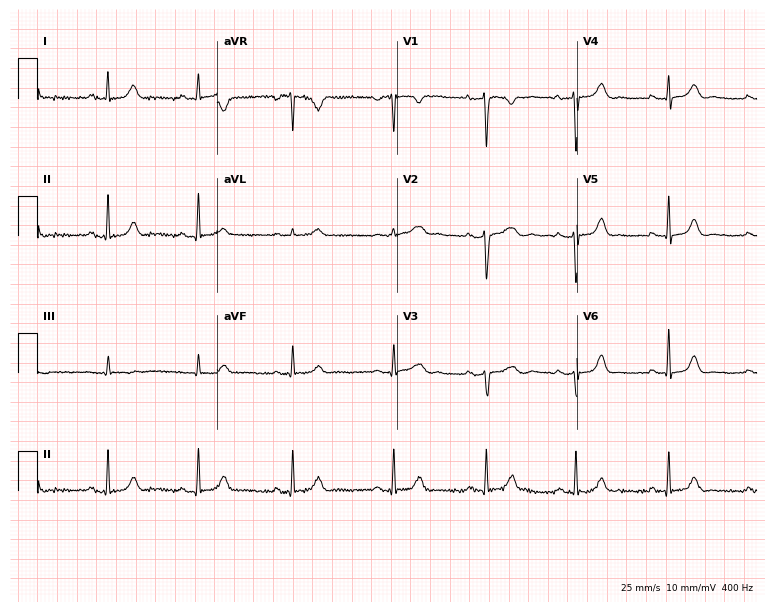
12-lead ECG from a woman, 35 years old. Labelled as a normal ECG.